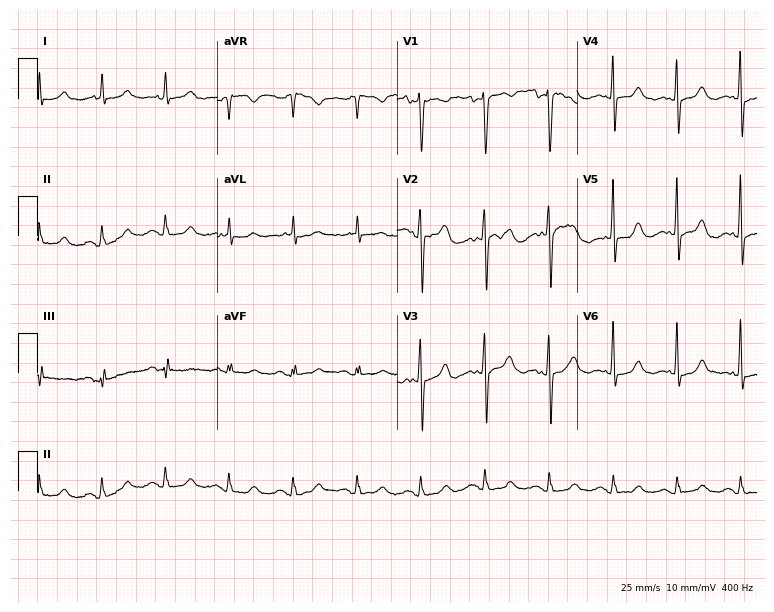
Resting 12-lead electrocardiogram. Patient: a woman, 72 years old. None of these six findings is recorded: first-degree AV block, right bundle branch block, left bundle branch block, sinus bradycardia, atrial fibrillation, sinus tachycardia. Other findings, if any, are not listed.